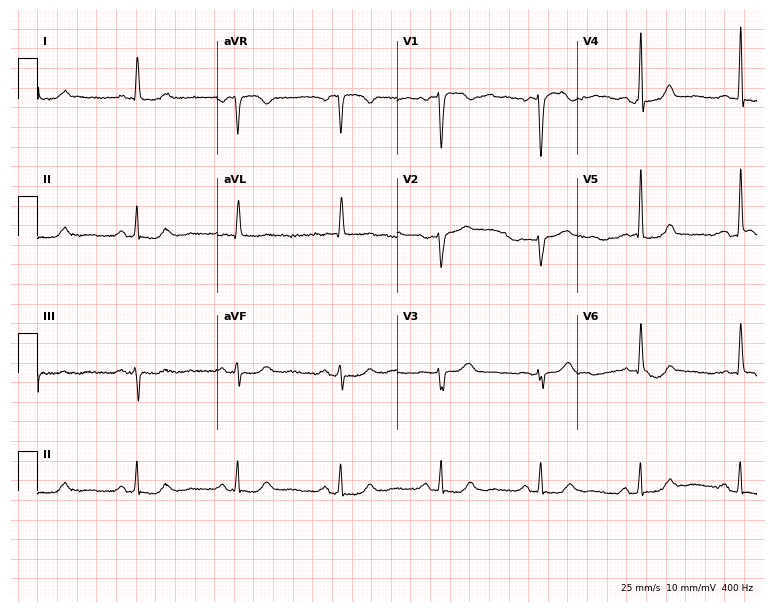
Resting 12-lead electrocardiogram (7.3-second recording at 400 Hz). Patient: a 61-year-old female. Read as a normal ECG.